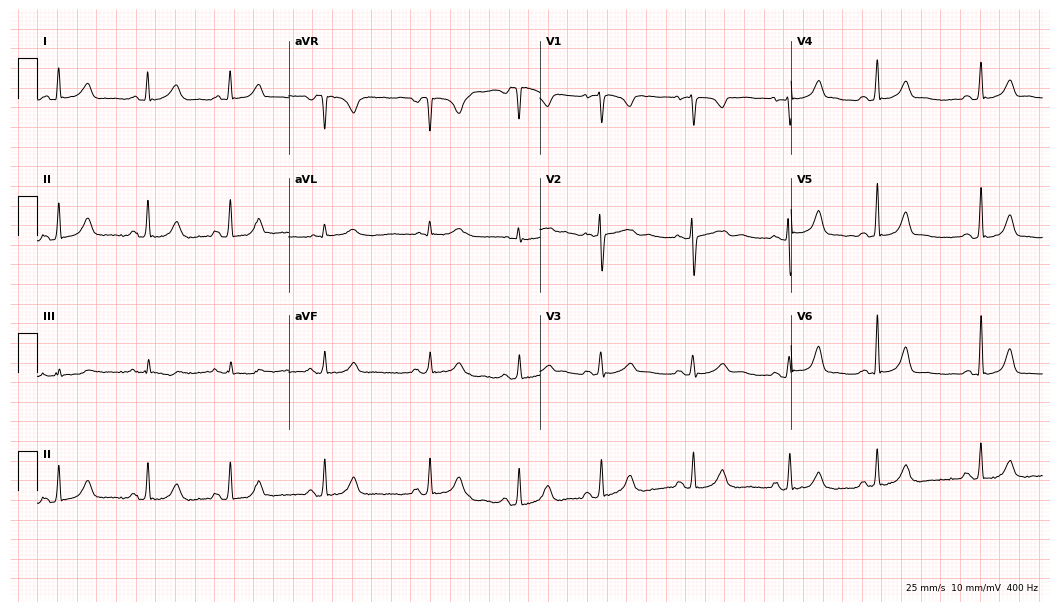
12-lead ECG from a 28-year-old woman. Labelled as a normal ECG.